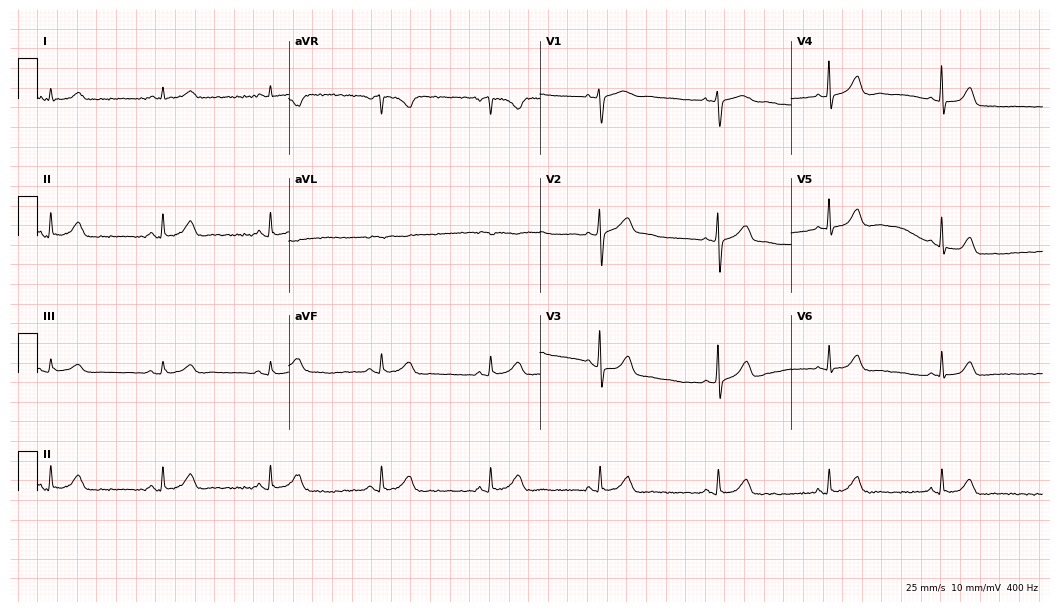
12-lead ECG from a 57-year-old female. Labelled as a normal ECG.